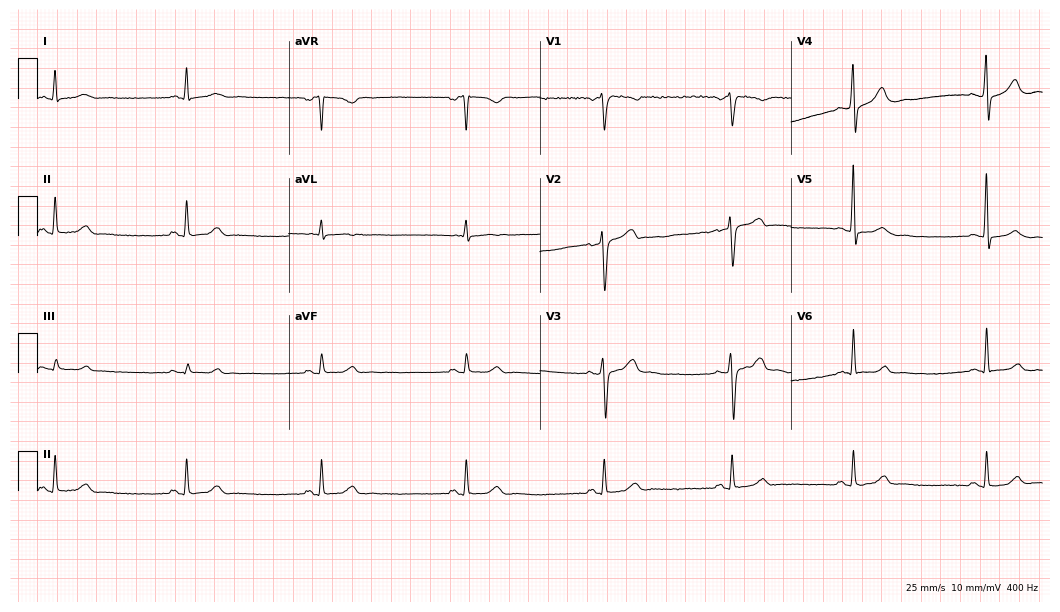
Electrocardiogram, a 41-year-old male. Interpretation includes sinus bradycardia (a sinus rate of 50 beats per minute or less).